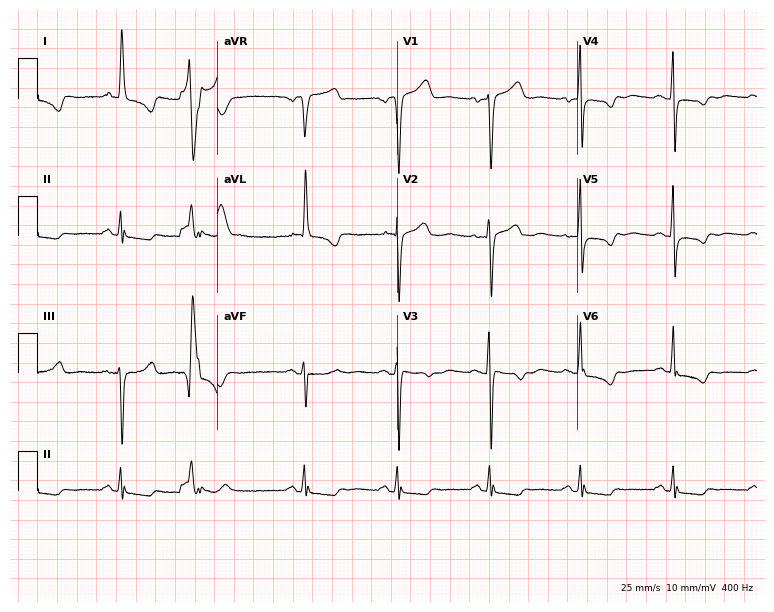
Standard 12-lead ECG recorded from a 57-year-old female patient. Read as a normal ECG.